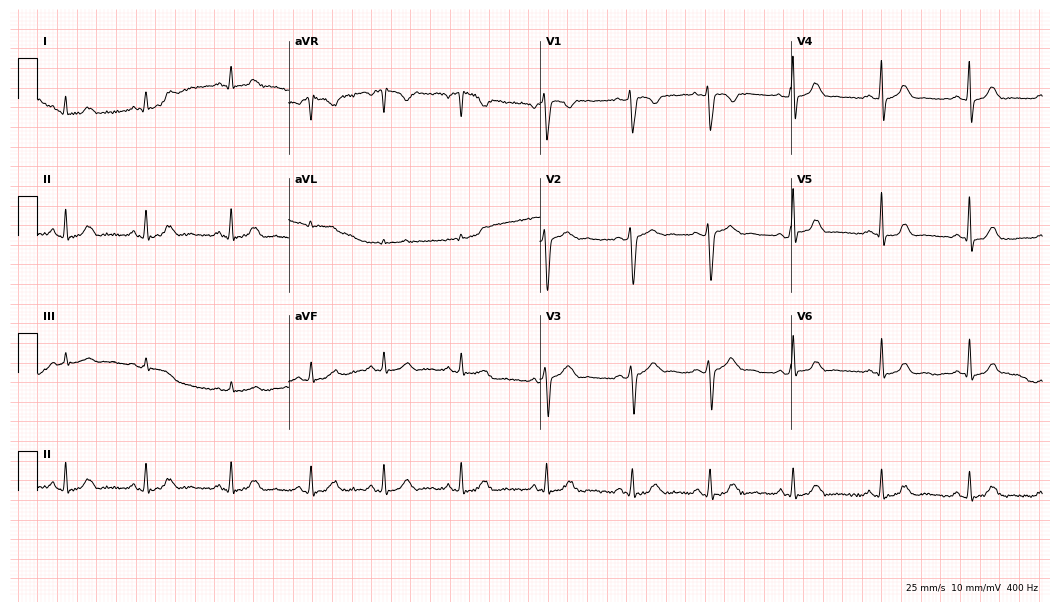
Resting 12-lead electrocardiogram. Patient: a 26-year-old woman. Read as a normal ECG.